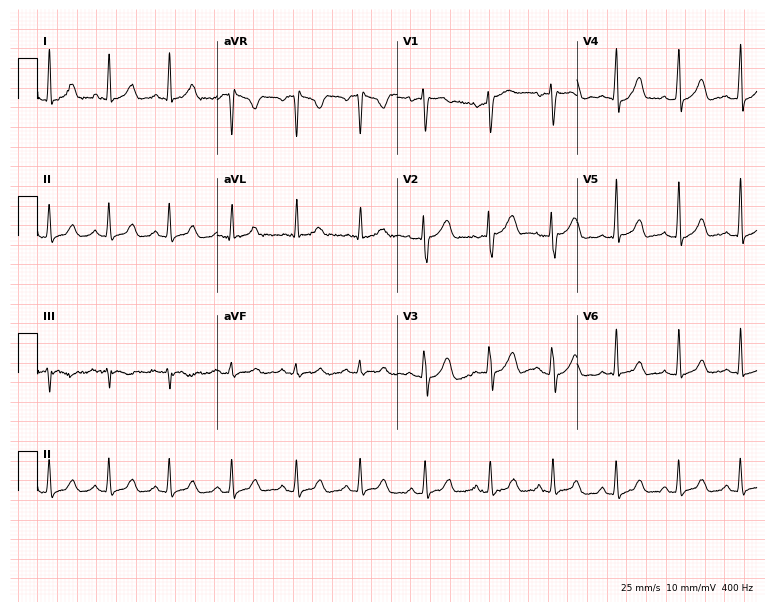
Electrocardiogram, a 42-year-old female patient. Overall reading on record: normal ECG.